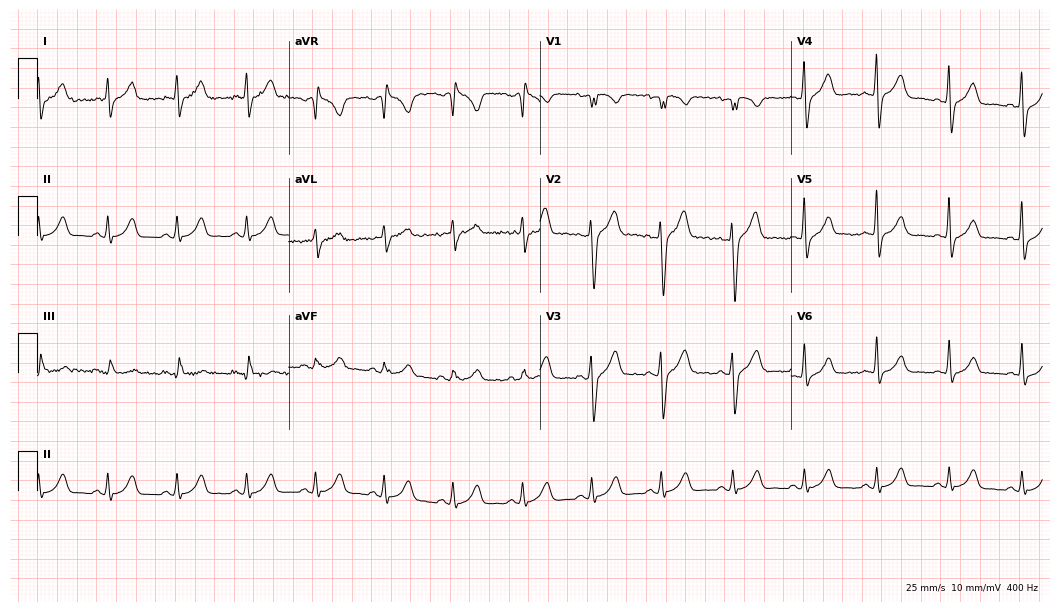
ECG (10.2-second recording at 400 Hz) — a man, 35 years old. Labelled as a normal ECG.